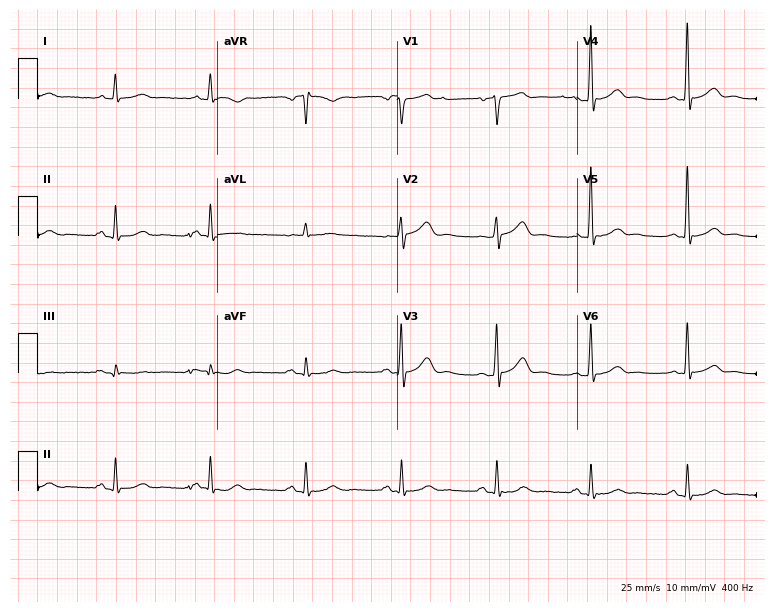
12-lead ECG from a male, 72 years old. Screened for six findings — first-degree AV block, right bundle branch block, left bundle branch block, sinus bradycardia, atrial fibrillation, sinus tachycardia — none is recorded.